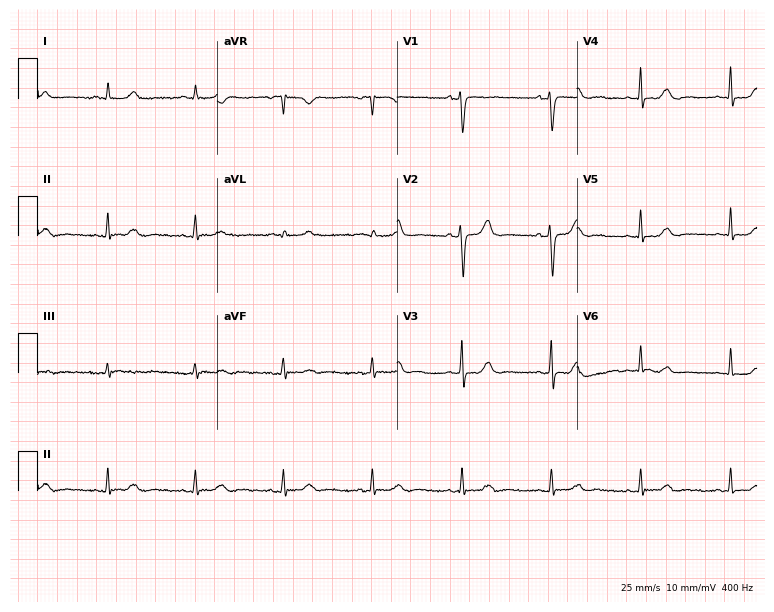
12-lead ECG from a woman, 68 years old. Recorded interpretation: within normal limits.